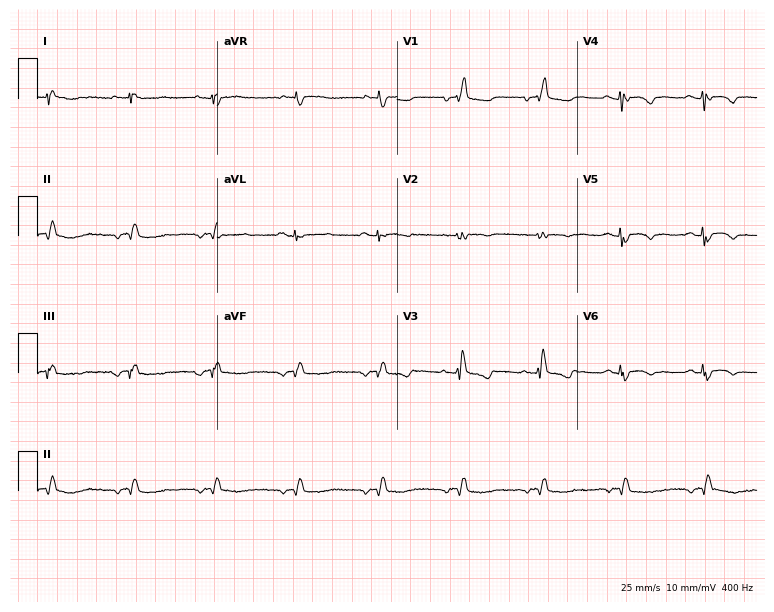
Standard 12-lead ECG recorded from a 57-year-old woman (7.3-second recording at 400 Hz). None of these six findings is recorded: first-degree AV block, right bundle branch block (RBBB), left bundle branch block (LBBB), sinus bradycardia, atrial fibrillation (AF), sinus tachycardia.